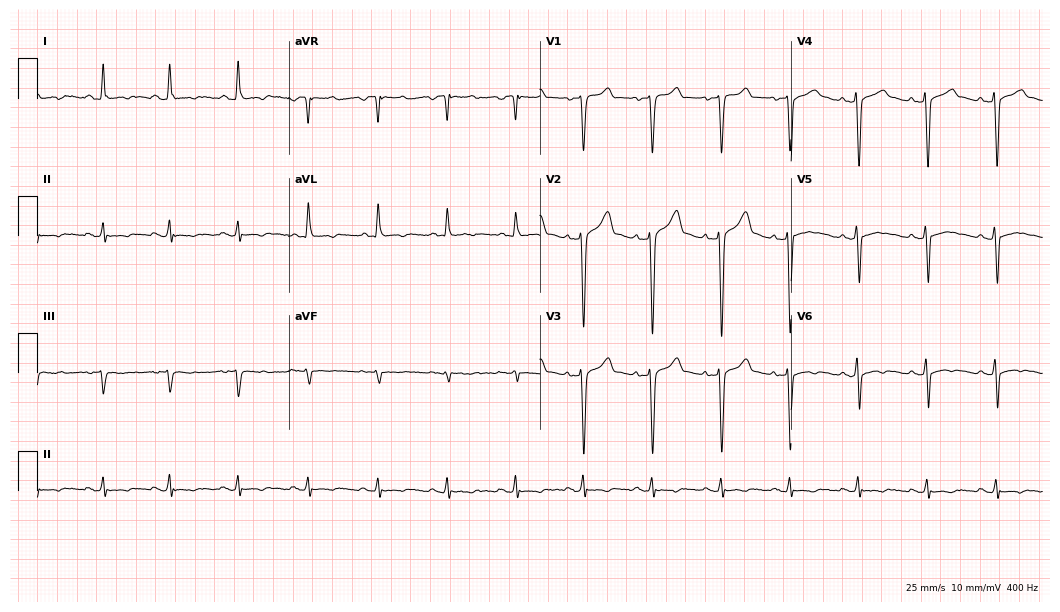
Resting 12-lead electrocardiogram. Patient: a man, 40 years old. None of these six findings is recorded: first-degree AV block, right bundle branch block (RBBB), left bundle branch block (LBBB), sinus bradycardia, atrial fibrillation (AF), sinus tachycardia.